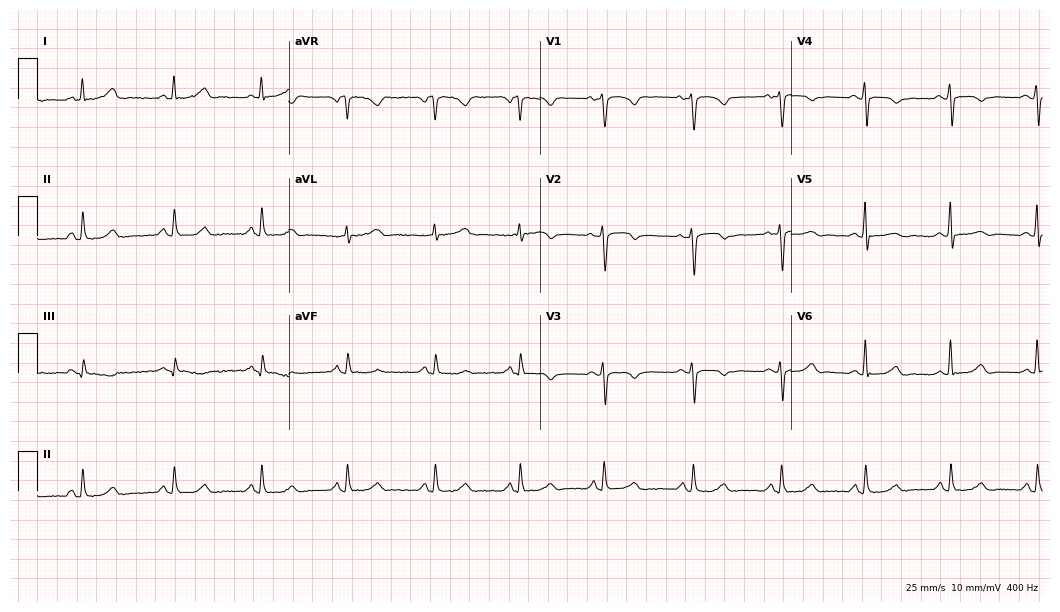
12-lead ECG from a 56-year-old female patient. Labelled as a normal ECG.